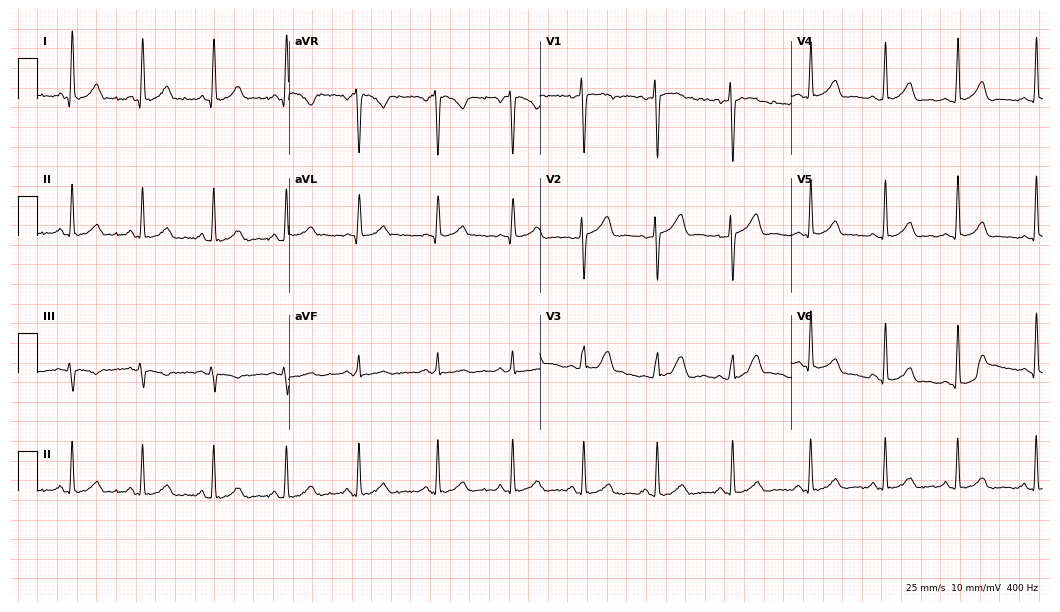
ECG — a female, 38 years old. Labelled as a normal ECG.